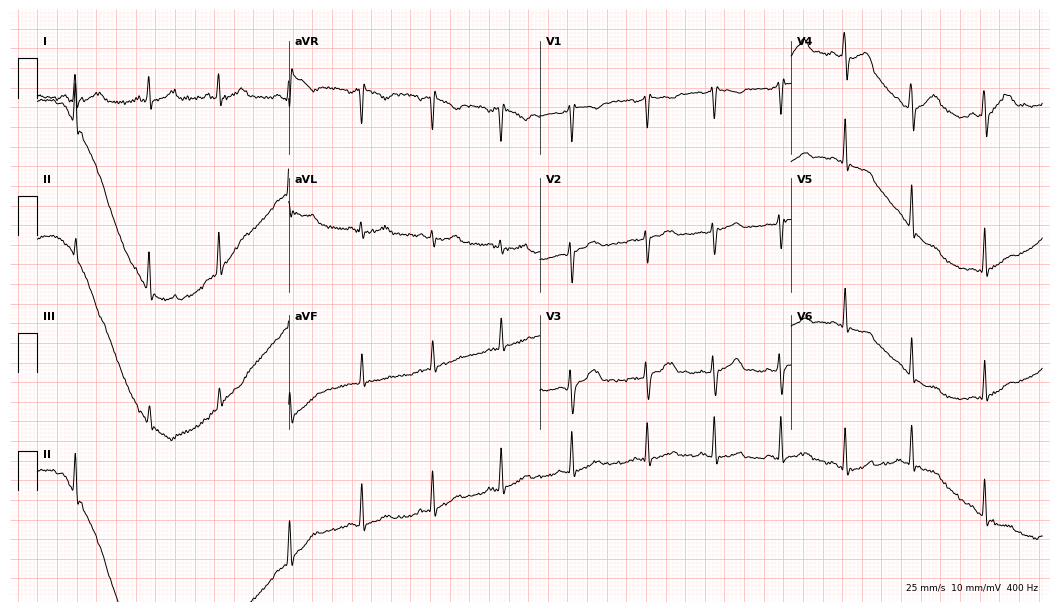
12-lead ECG (10.2-second recording at 400 Hz) from a female, 28 years old. Labelled as a normal ECG.